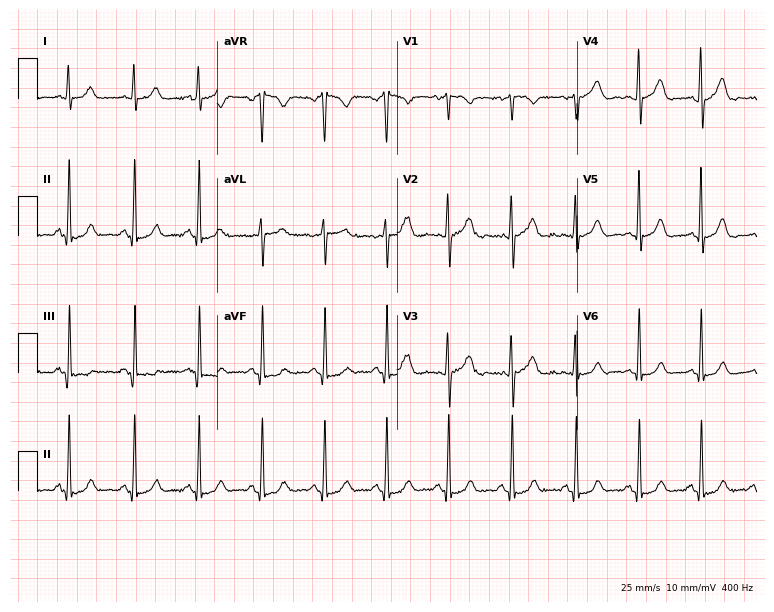
12-lead ECG from a 43-year-old female. No first-degree AV block, right bundle branch block, left bundle branch block, sinus bradycardia, atrial fibrillation or sinus tachycardia recorded for this tracing. Other findings, if any, are not listed.